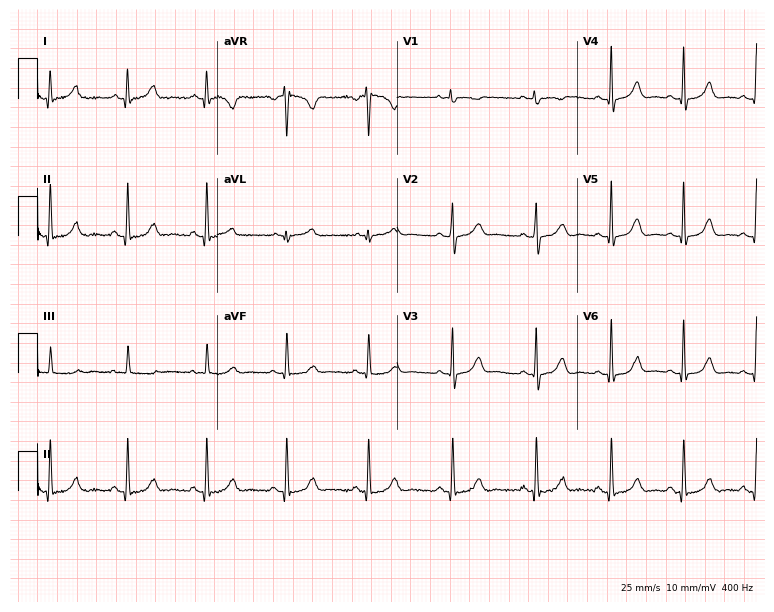
Standard 12-lead ECG recorded from a female patient, 27 years old. Read as a normal ECG.